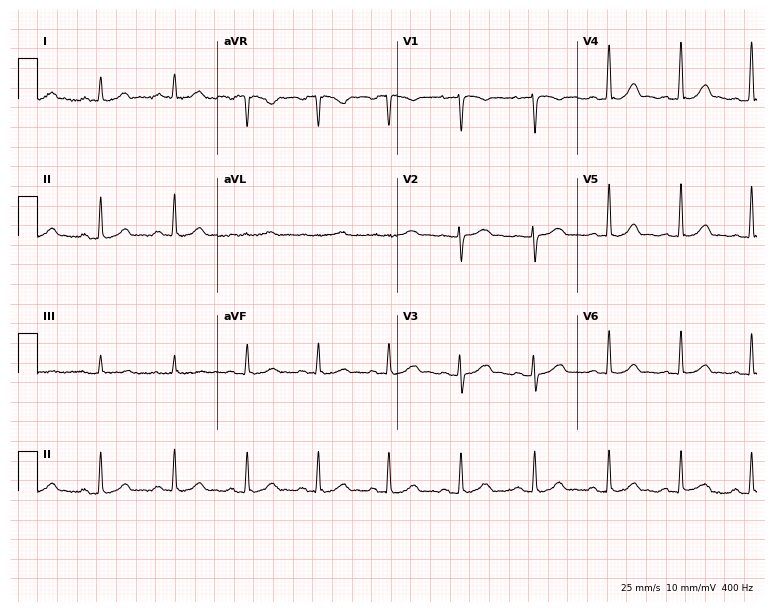
Standard 12-lead ECG recorded from a woman, 39 years old. None of these six findings is recorded: first-degree AV block, right bundle branch block, left bundle branch block, sinus bradycardia, atrial fibrillation, sinus tachycardia.